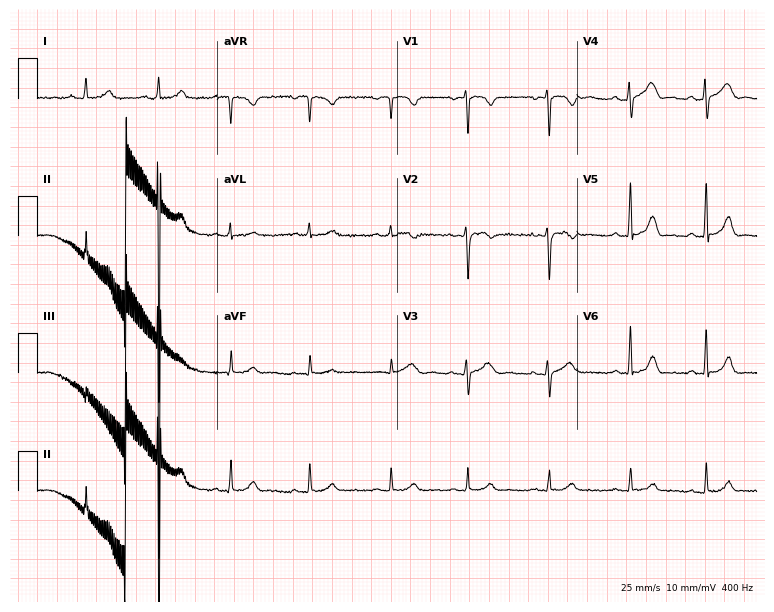
12-lead ECG from a female patient, 25 years old. Recorded interpretation: within normal limits.